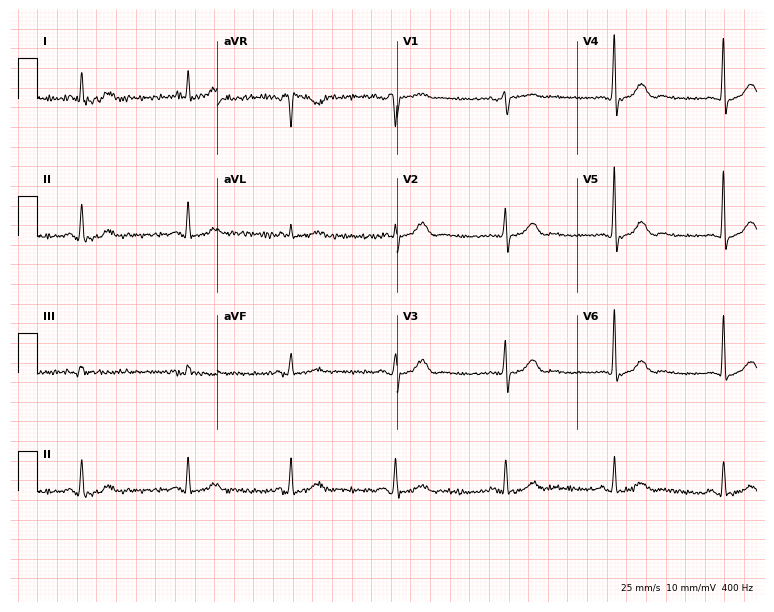
12-lead ECG from a male, 50 years old (7.3-second recording at 400 Hz). Recorded interpretation: within normal limits.